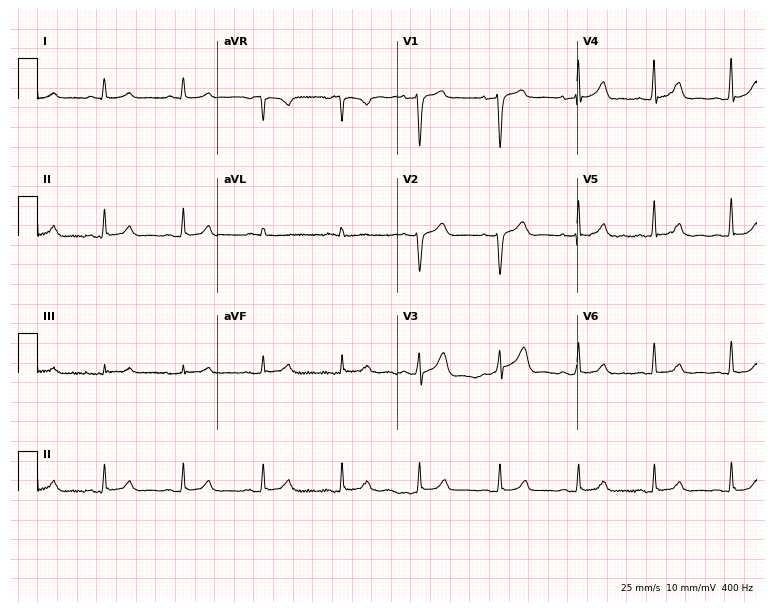
12-lead ECG (7.3-second recording at 400 Hz) from a 59-year-old man. Labelled as a normal ECG.